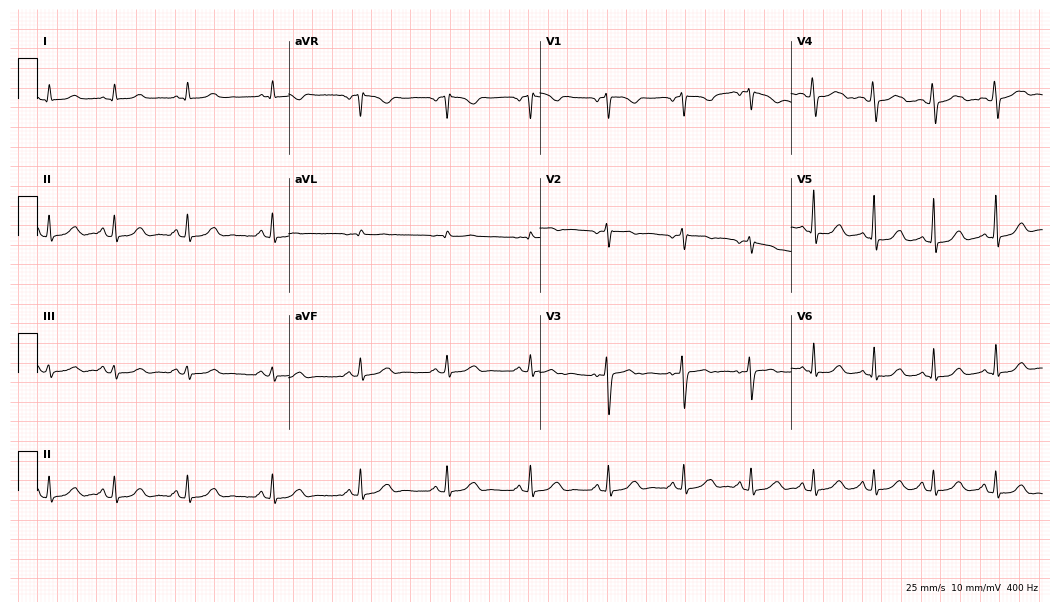
Standard 12-lead ECG recorded from a woman, 31 years old (10.2-second recording at 400 Hz). None of these six findings is recorded: first-degree AV block, right bundle branch block, left bundle branch block, sinus bradycardia, atrial fibrillation, sinus tachycardia. Findings outside these six are not listed.